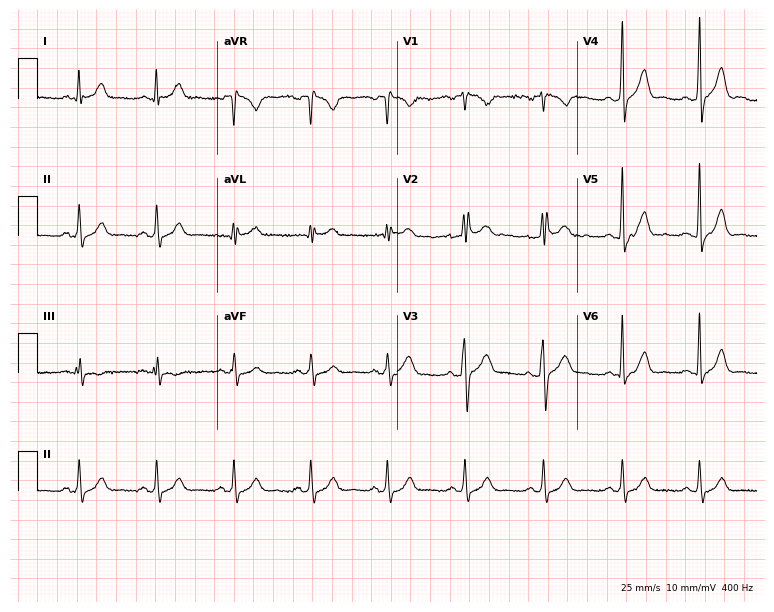
Electrocardiogram (7.3-second recording at 400 Hz), a male, 47 years old. Overall reading on record: normal ECG.